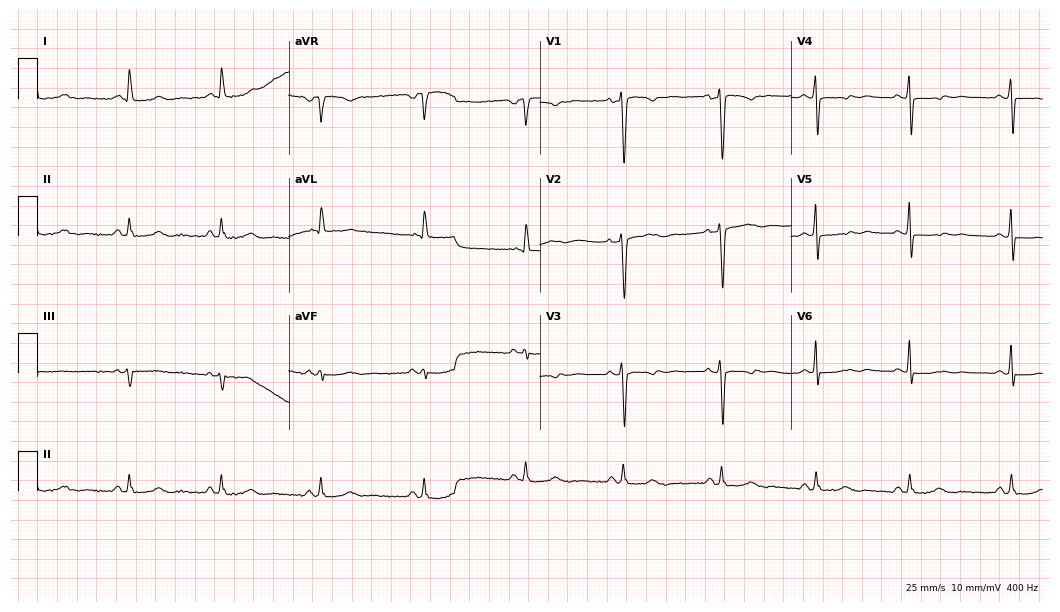
ECG (10.2-second recording at 400 Hz) — a 61-year-old female. Screened for six findings — first-degree AV block, right bundle branch block (RBBB), left bundle branch block (LBBB), sinus bradycardia, atrial fibrillation (AF), sinus tachycardia — none is recorded. Other findings, if any, are not listed.